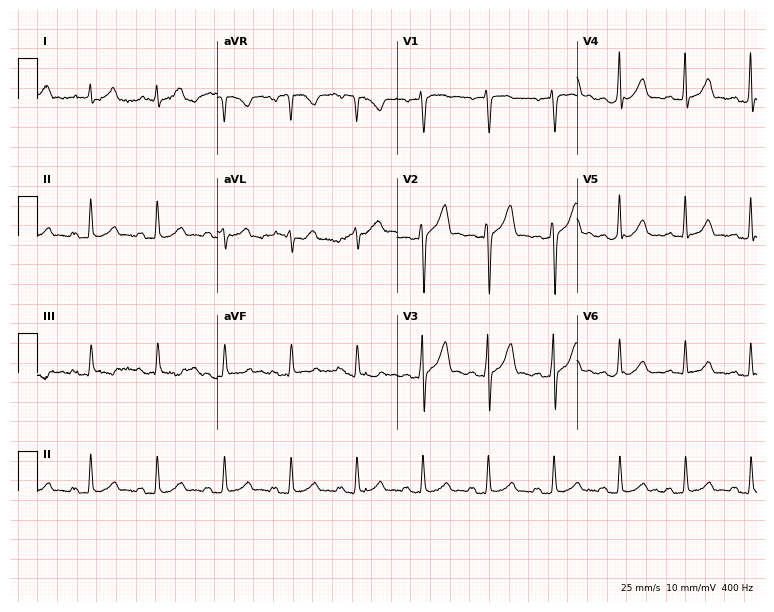
Resting 12-lead electrocardiogram. Patient: a 40-year-old man. Read as a normal ECG.